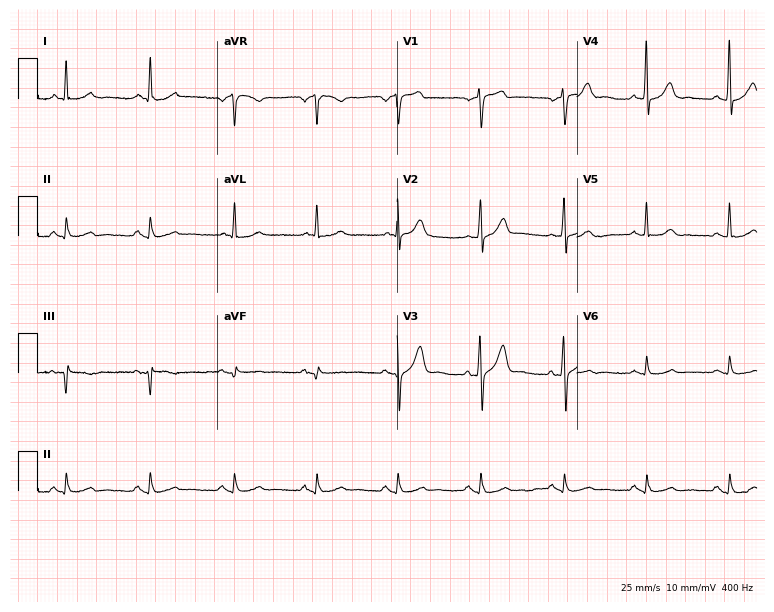
Standard 12-lead ECG recorded from a man, 73 years old. Read as a normal ECG.